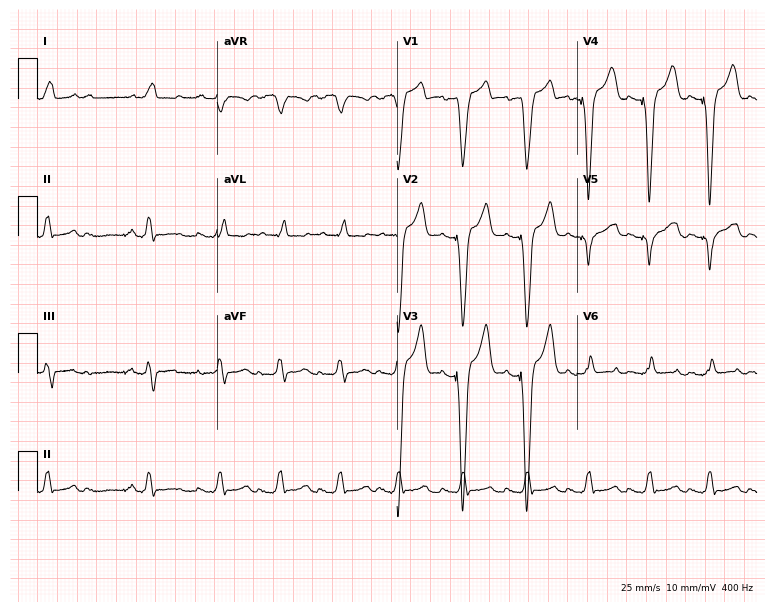
Electrocardiogram (7.3-second recording at 400 Hz), a 41-year-old woman. Interpretation includes left bundle branch block (LBBB).